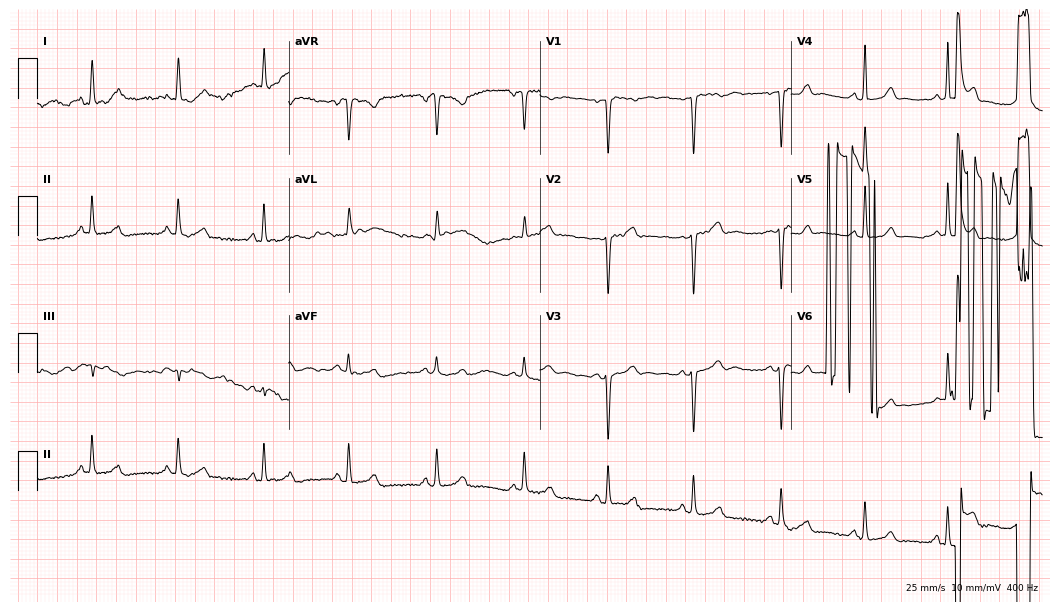
Resting 12-lead electrocardiogram. Patient: a woman, 84 years old. None of these six findings is recorded: first-degree AV block, right bundle branch block (RBBB), left bundle branch block (LBBB), sinus bradycardia, atrial fibrillation (AF), sinus tachycardia.